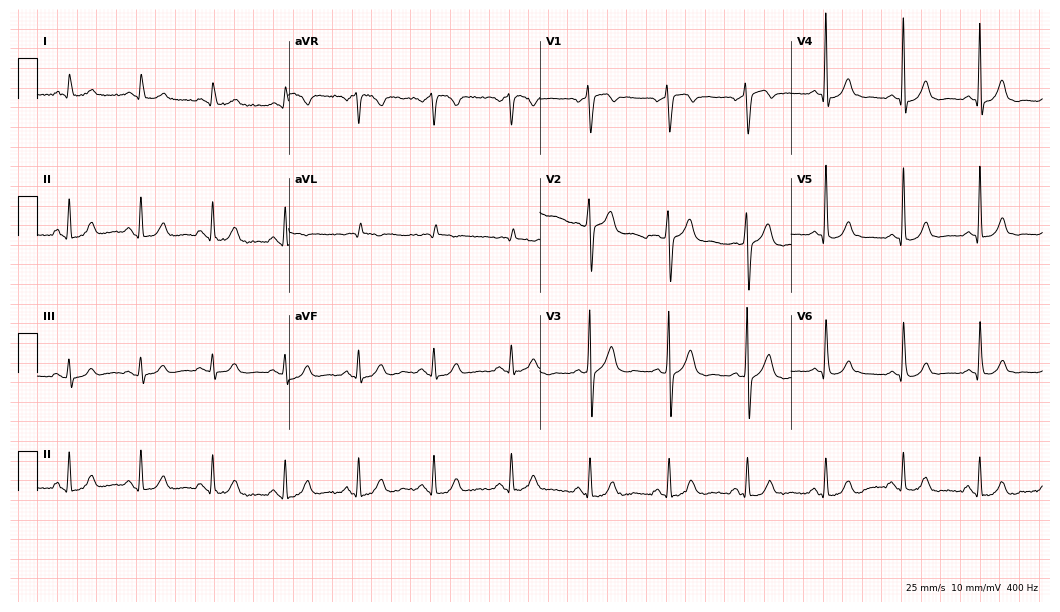
Resting 12-lead electrocardiogram (10.2-second recording at 400 Hz). Patient: a male, 68 years old. Read as a normal ECG.